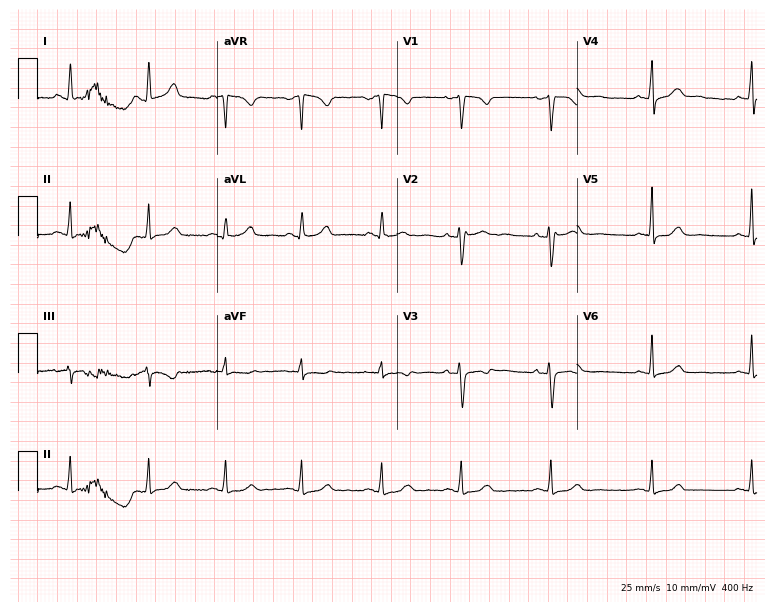
12-lead ECG (7.3-second recording at 400 Hz) from a female patient, 37 years old. Labelled as a normal ECG.